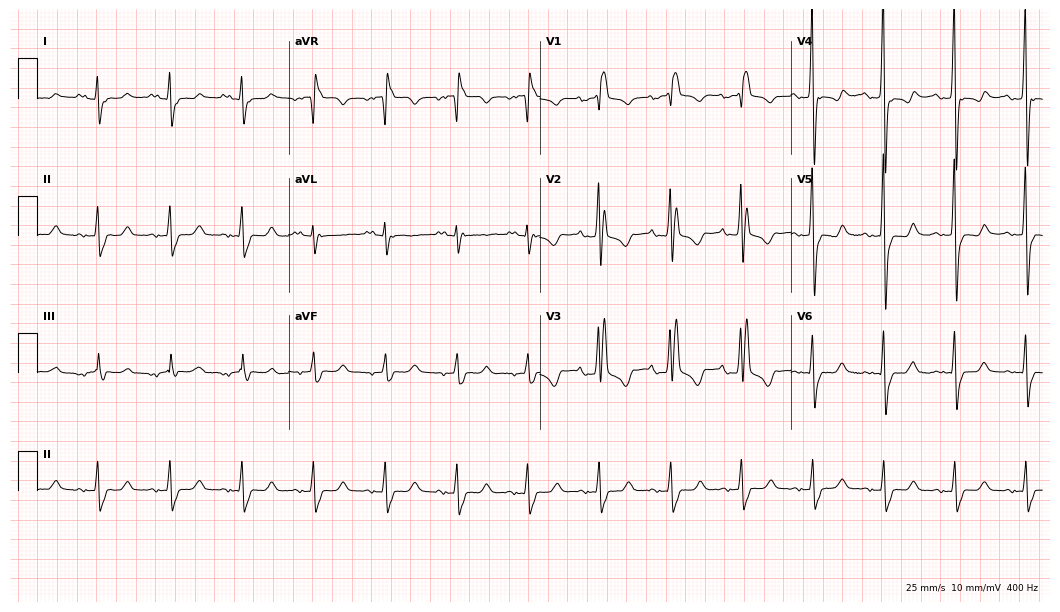
ECG — a 42-year-old woman. Screened for six findings — first-degree AV block, right bundle branch block, left bundle branch block, sinus bradycardia, atrial fibrillation, sinus tachycardia — none is recorded.